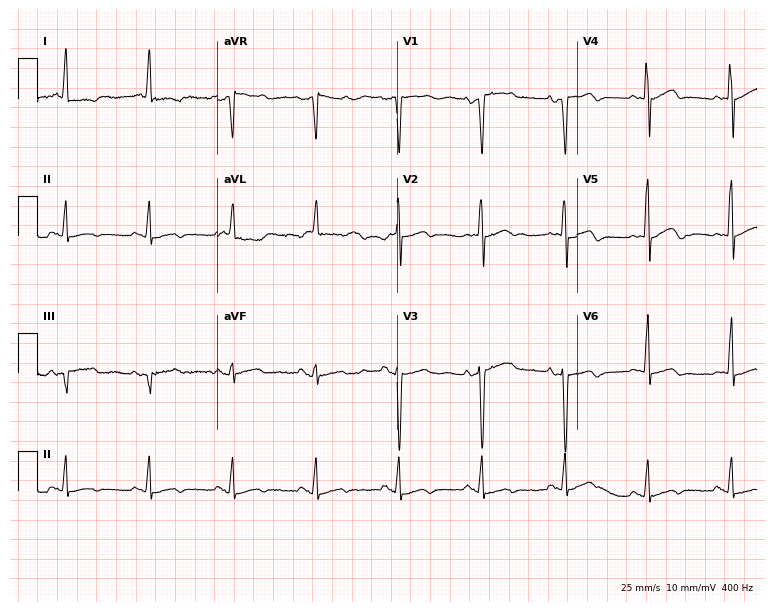
Electrocardiogram (7.3-second recording at 400 Hz), a woman, 79 years old. Of the six screened findings (first-degree AV block, right bundle branch block, left bundle branch block, sinus bradycardia, atrial fibrillation, sinus tachycardia), none is recorded. Other findings, if any, are not listed.